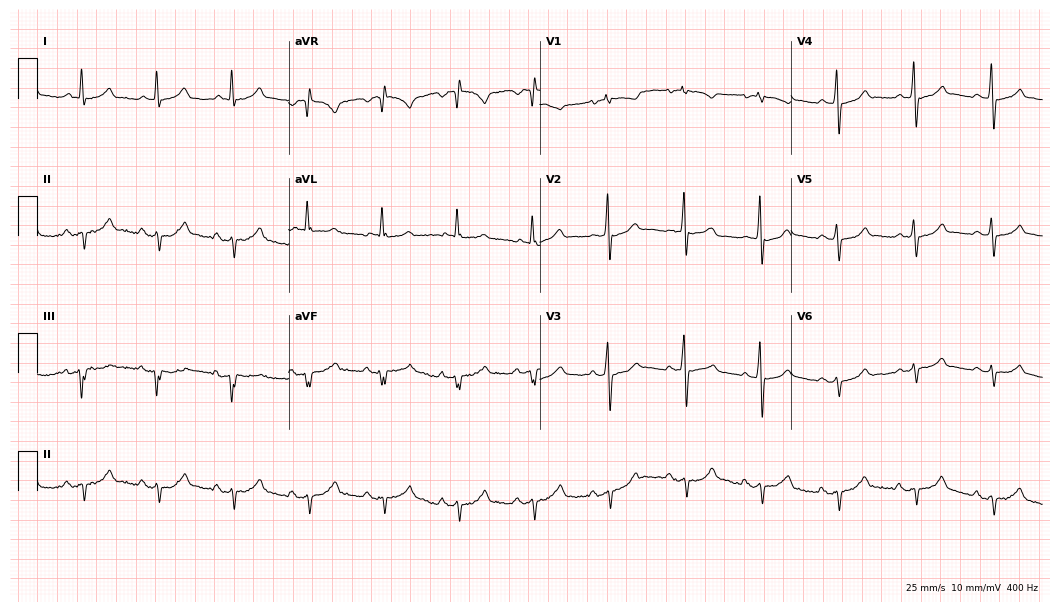
Resting 12-lead electrocardiogram. Patient: a male, 71 years old. None of these six findings is recorded: first-degree AV block, right bundle branch block, left bundle branch block, sinus bradycardia, atrial fibrillation, sinus tachycardia.